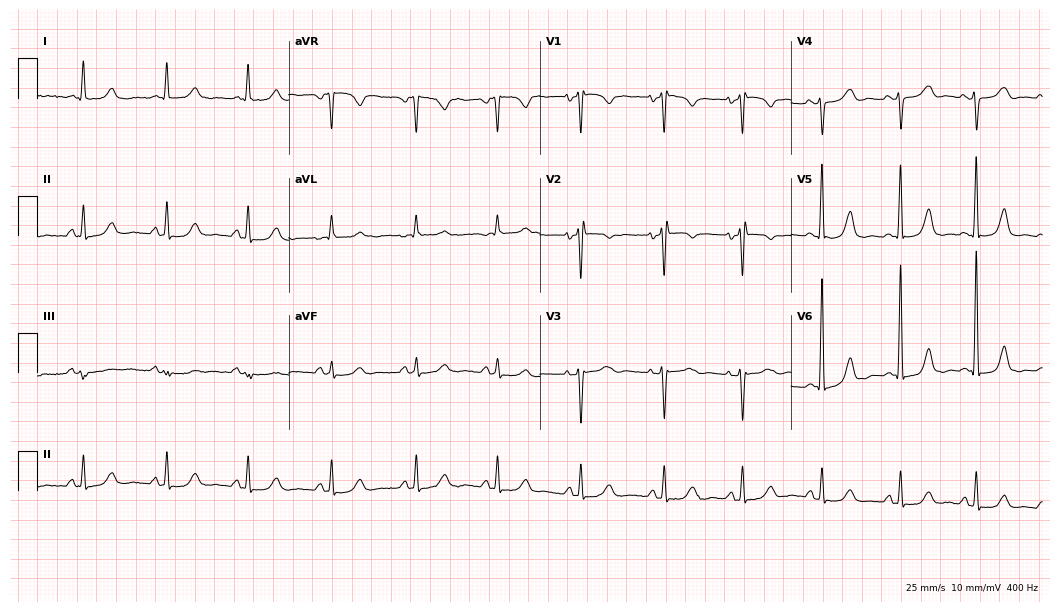
12-lead ECG (10.2-second recording at 400 Hz) from a female, 63 years old. Screened for six findings — first-degree AV block, right bundle branch block, left bundle branch block, sinus bradycardia, atrial fibrillation, sinus tachycardia — none is recorded.